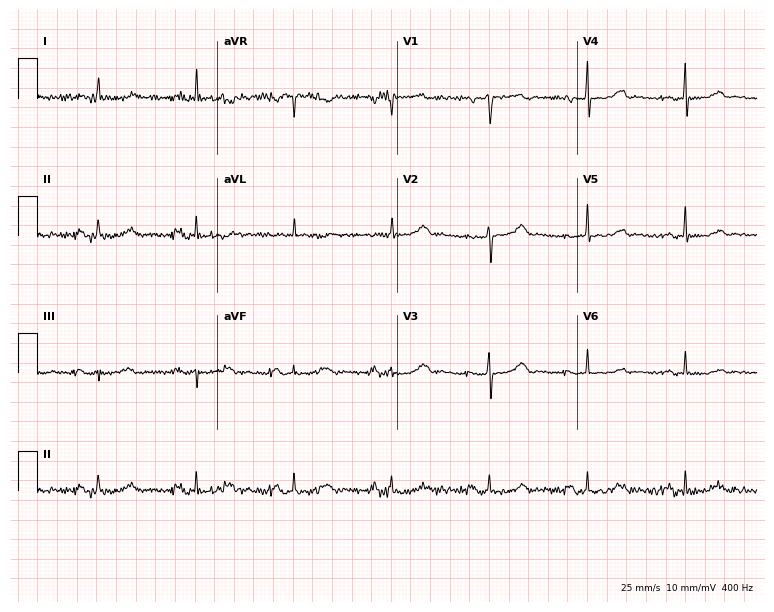
12-lead ECG from a 57-year-old woman (7.3-second recording at 400 Hz). Recorded interpretation: within normal limits.